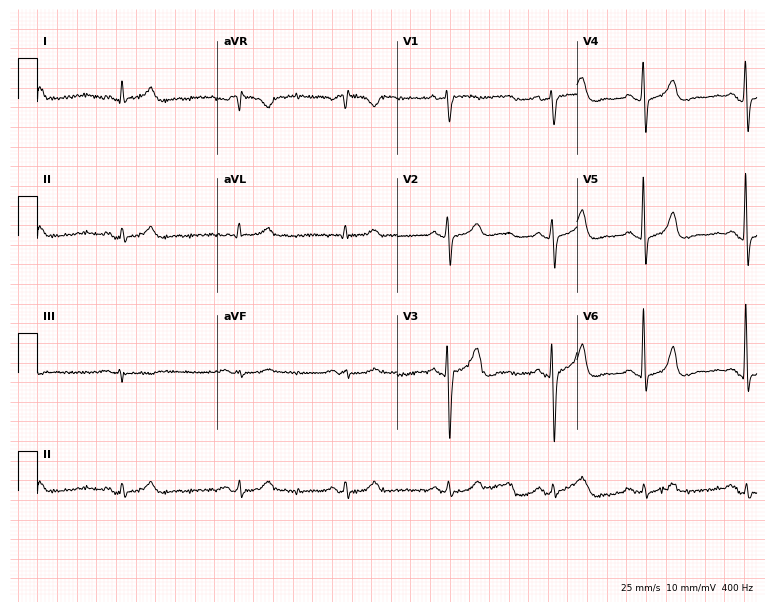
Electrocardiogram, an 83-year-old male patient. Overall reading on record: normal ECG.